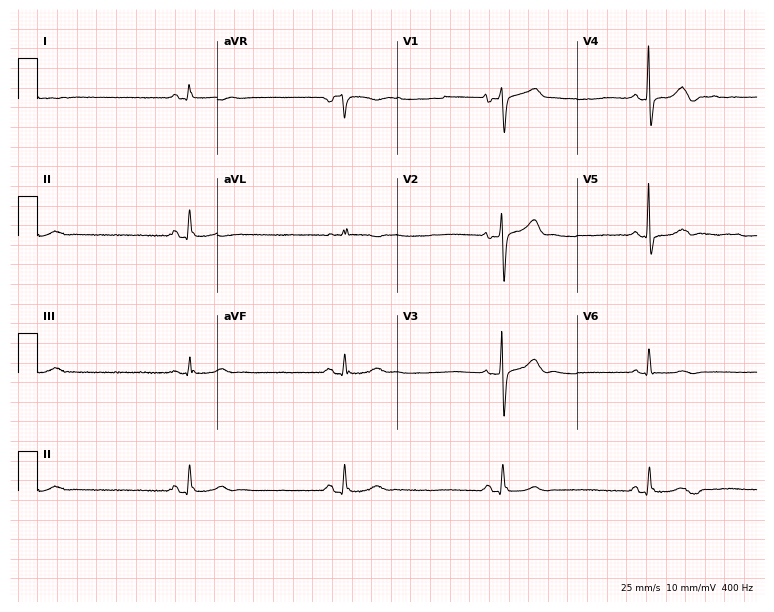
Electrocardiogram, a female, 77 years old. Interpretation includes sinus bradycardia (a sinus rate of 50 beats per minute or less).